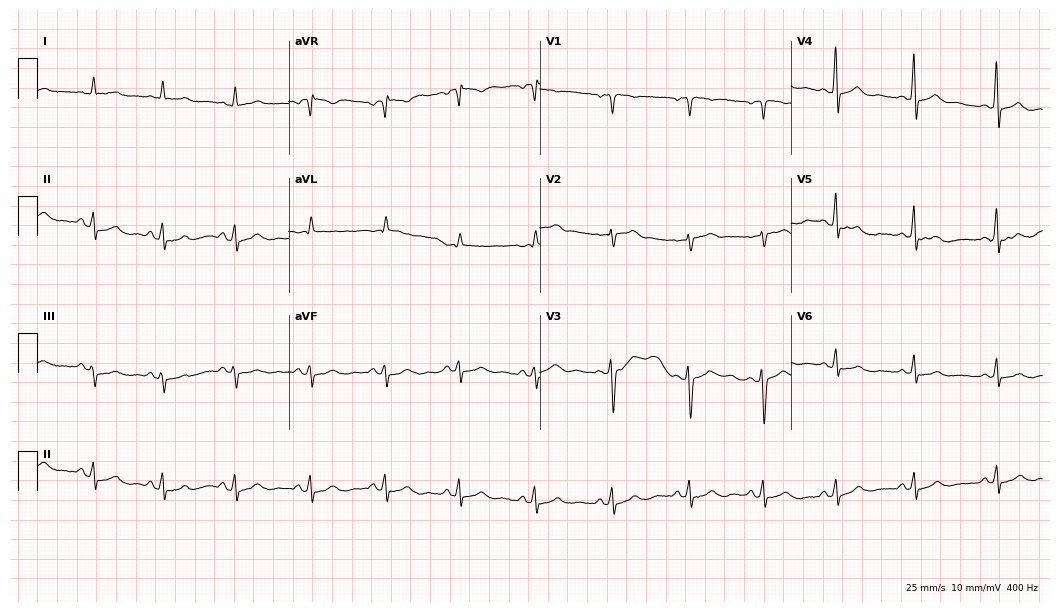
Resting 12-lead electrocardiogram. Patient: a woman, 50 years old. Read as a normal ECG.